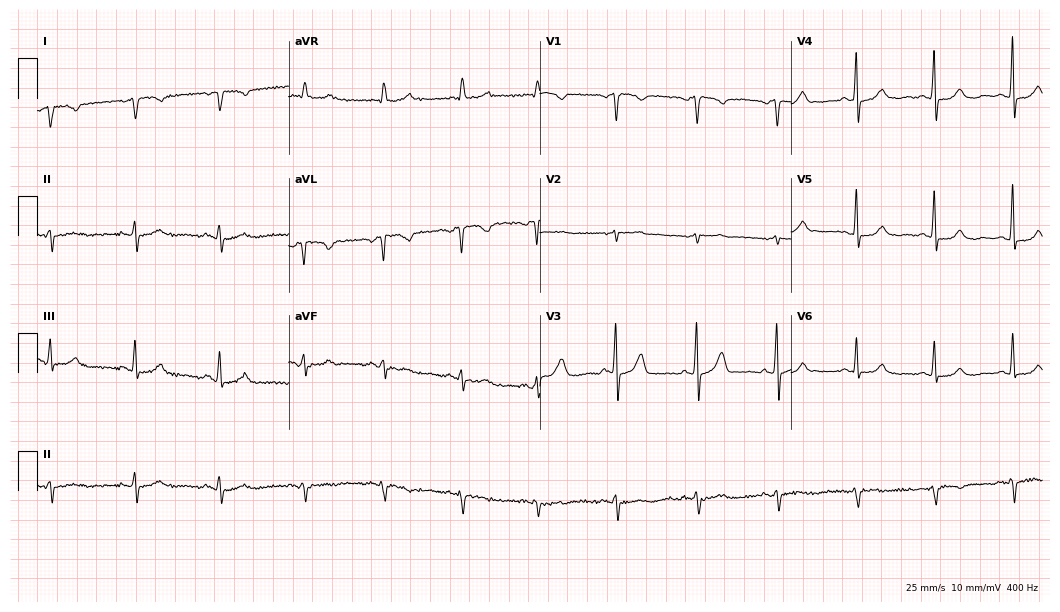
12-lead ECG from a 44-year-old woman (10.2-second recording at 400 Hz). No first-degree AV block, right bundle branch block, left bundle branch block, sinus bradycardia, atrial fibrillation or sinus tachycardia recorded for this tracing.